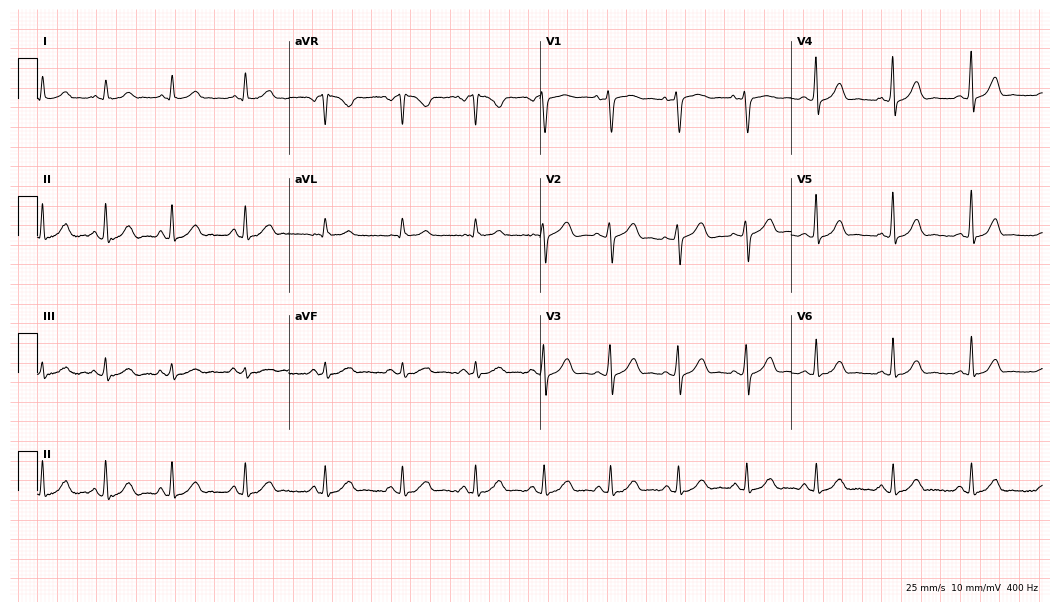
Standard 12-lead ECG recorded from a woman, 36 years old (10.2-second recording at 400 Hz). None of these six findings is recorded: first-degree AV block, right bundle branch block (RBBB), left bundle branch block (LBBB), sinus bradycardia, atrial fibrillation (AF), sinus tachycardia. Other findings, if any, are not listed.